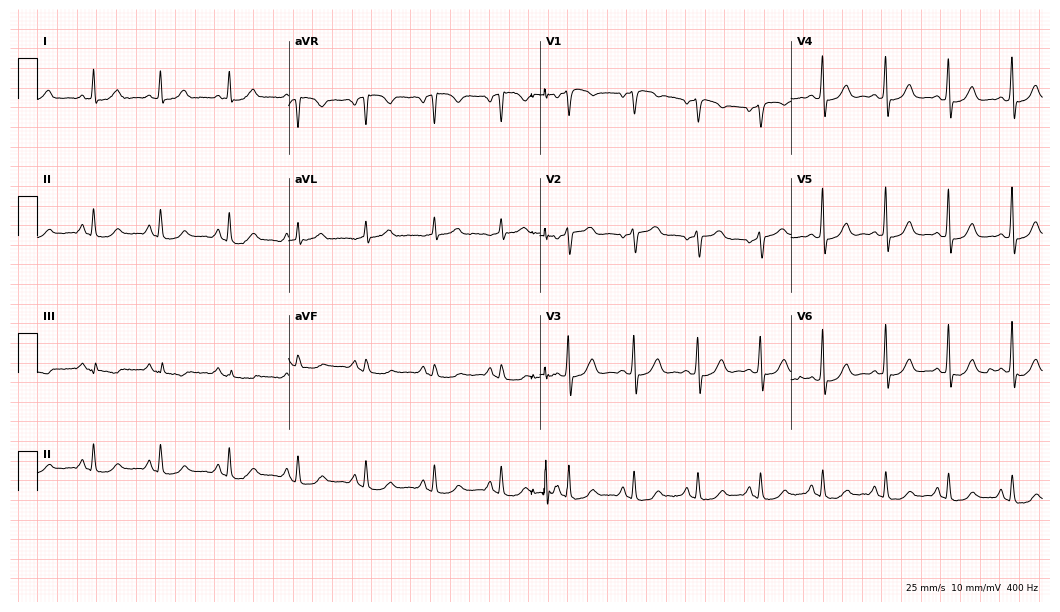
ECG (10.2-second recording at 400 Hz) — a man, 65 years old. Labelled as a normal ECG.